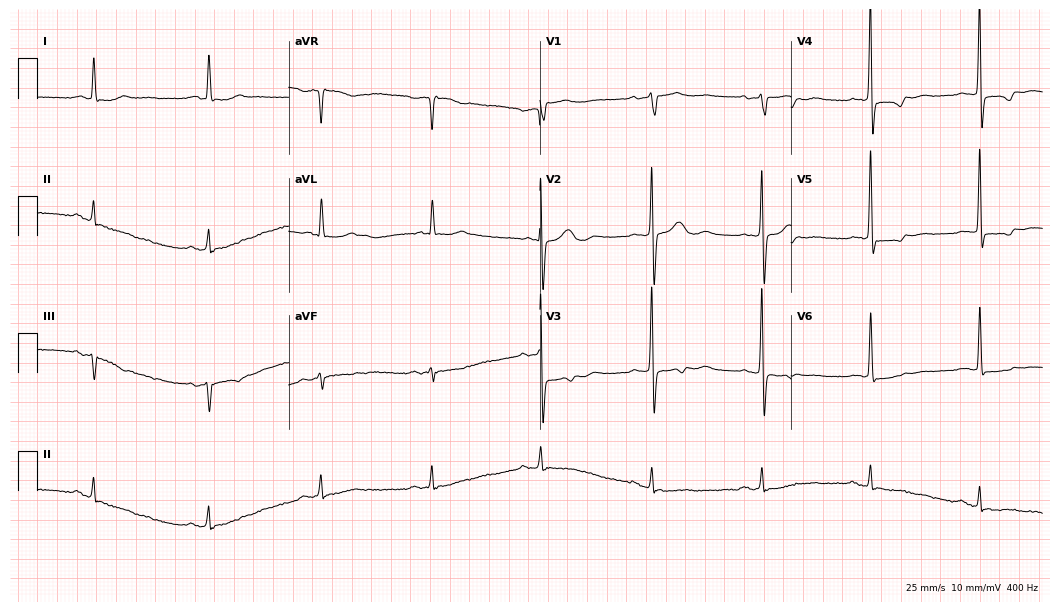
12-lead ECG from a woman, 76 years old (10.2-second recording at 400 Hz). No first-degree AV block, right bundle branch block (RBBB), left bundle branch block (LBBB), sinus bradycardia, atrial fibrillation (AF) or sinus tachycardia recorded for this tracing.